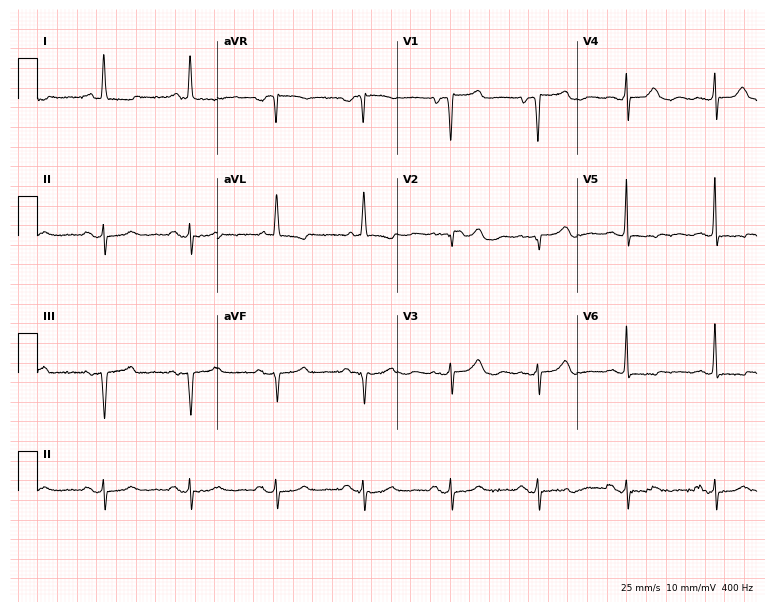
Electrocardiogram, a 74-year-old female. Of the six screened findings (first-degree AV block, right bundle branch block, left bundle branch block, sinus bradycardia, atrial fibrillation, sinus tachycardia), none is recorded.